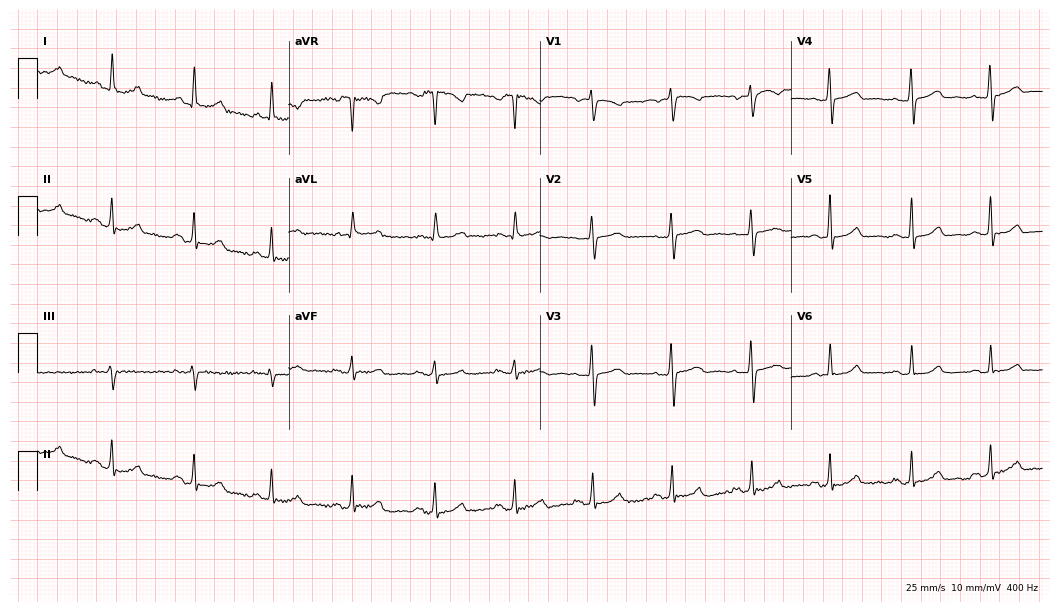
12-lead ECG from a female, 45 years old (10.2-second recording at 400 Hz). Recorded interpretation: within normal limits.